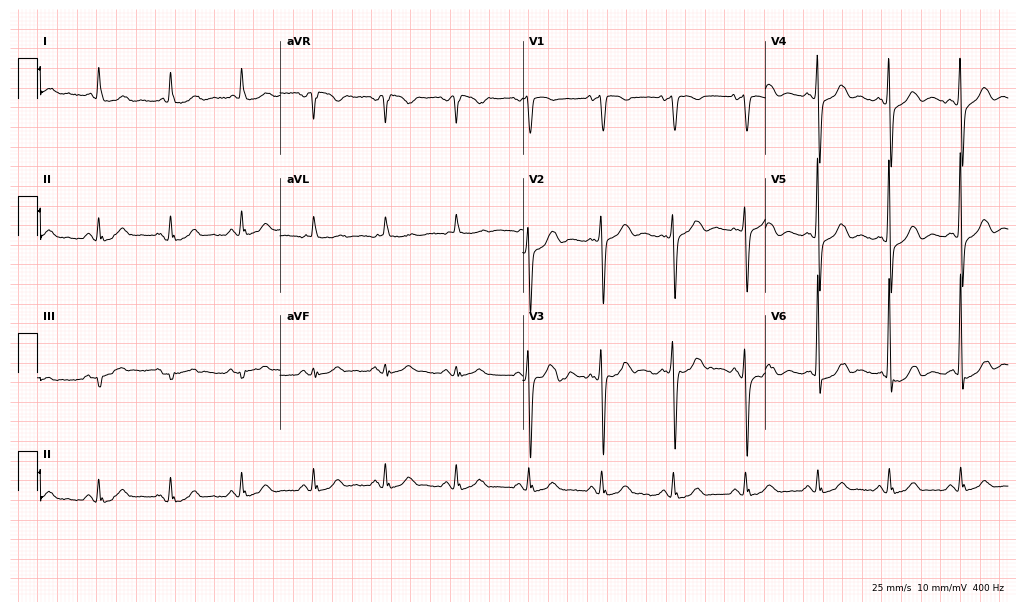
12-lead ECG (9.9-second recording at 400 Hz) from a female patient, 74 years old. Labelled as a normal ECG.